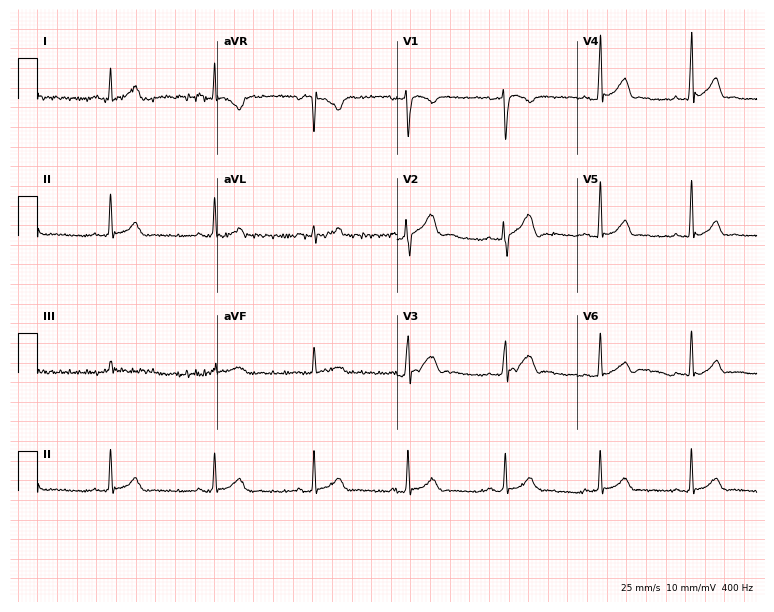
Resting 12-lead electrocardiogram. Patient: a 29-year-old male. Read as a normal ECG.